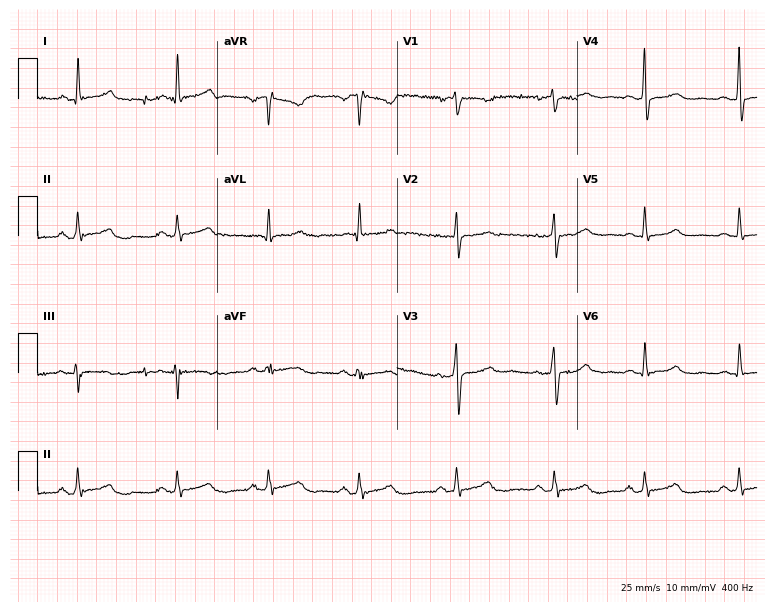
ECG (7.3-second recording at 400 Hz) — a woman, 62 years old. Labelled as a normal ECG.